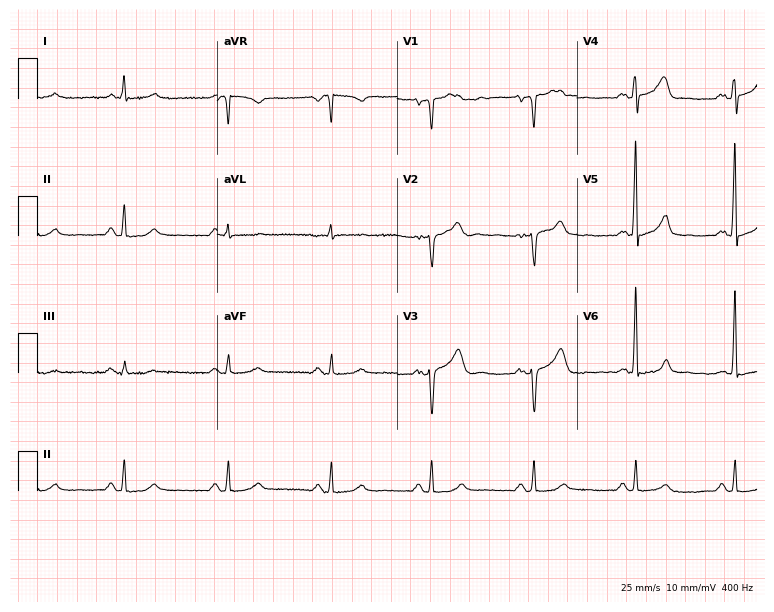
Resting 12-lead electrocardiogram. Patient: a 78-year-old man. Read as a normal ECG.